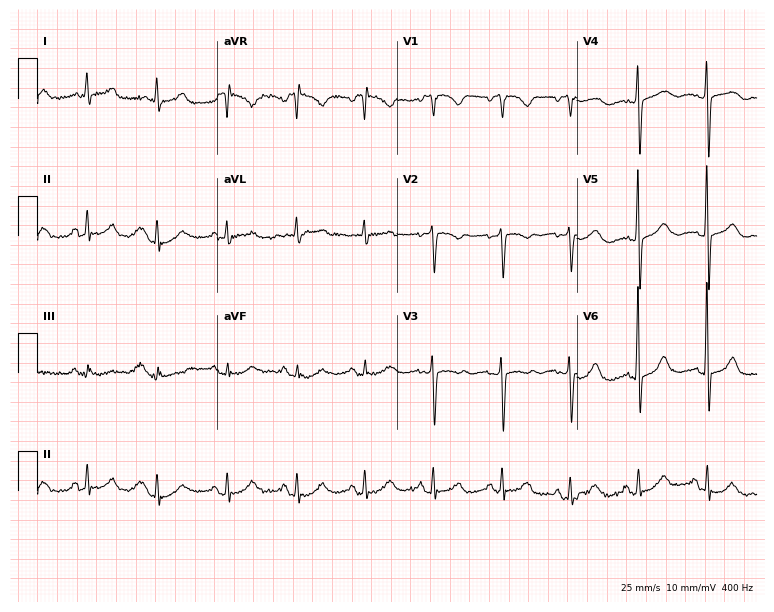
Electrocardiogram, a 71-year-old female patient. Of the six screened findings (first-degree AV block, right bundle branch block (RBBB), left bundle branch block (LBBB), sinus bradycardia, atrial fibrillation (AF), sinus tachycardia), none is recorded.